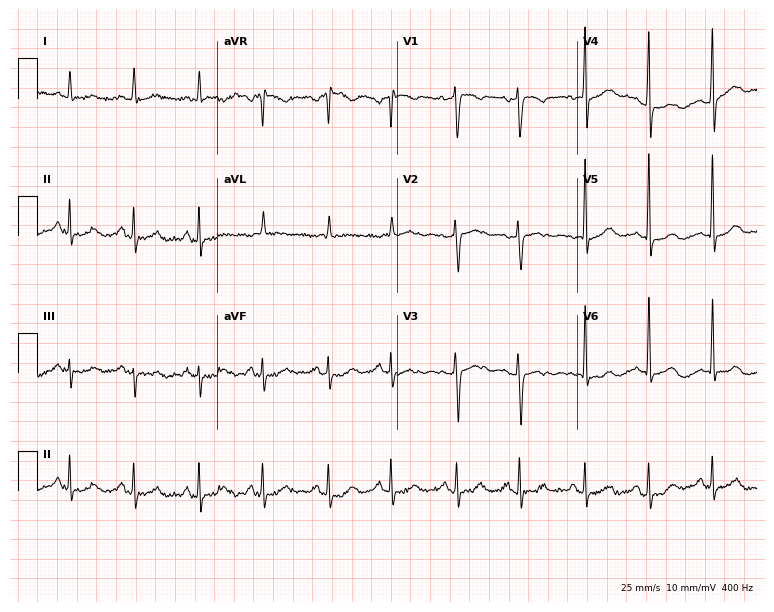
Standard 12-lead ECG recorded from a 54-year-old female patient. None of these six findings is recorded: first-degree AV block, right bundle branch block (RBBB), left bundle branch block (LBBB), sinus bradycardia, atrial fibrillation (AF), sinus tachycardia.